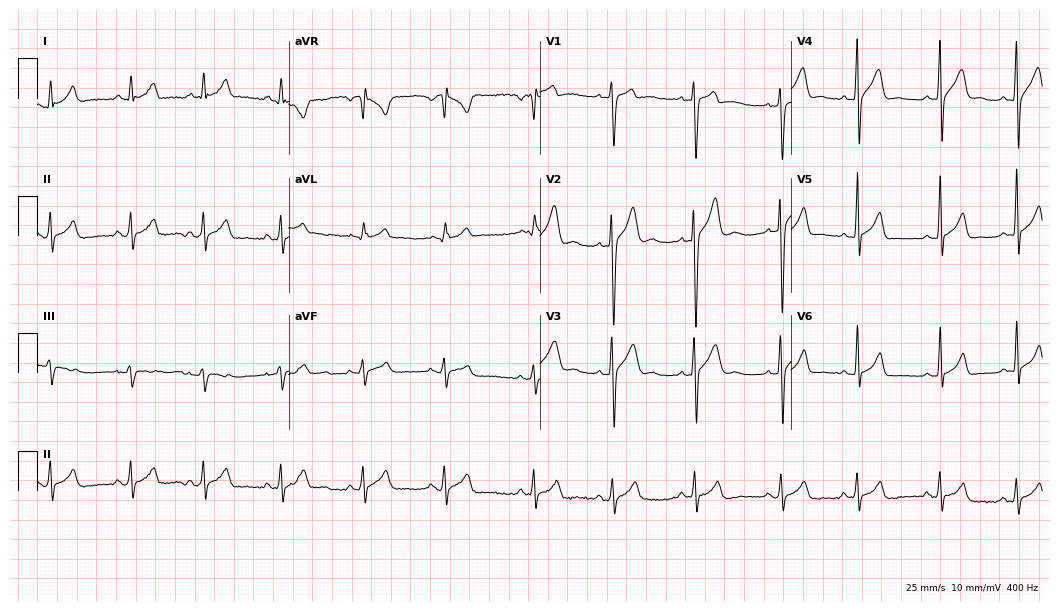
12-lead ECG from a male patient, 18 years old (10.2-second recording at 400 Hz). No first-degree AV block, right bundle branch block, left bundle branch block, sinus bradycardia, atrial fibrillation or sinus tachycardia recorded for this tracing. Findings outside these six are not listed.